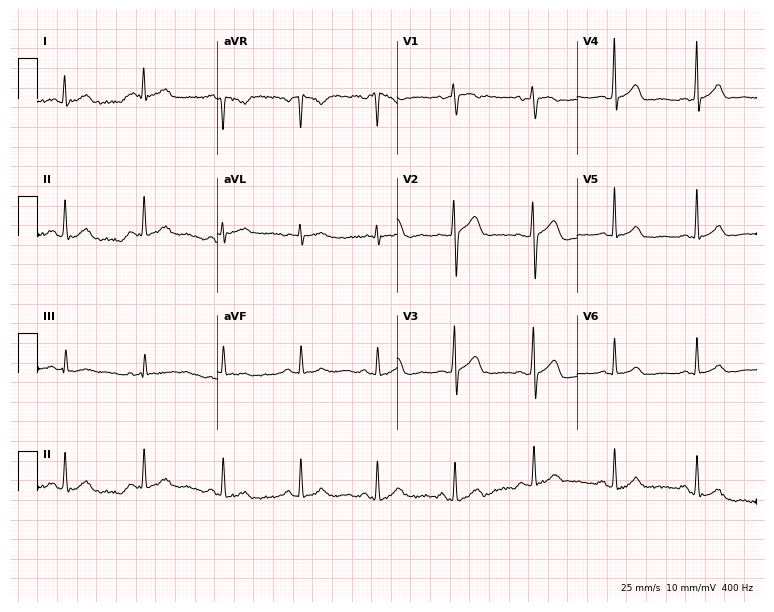
12-lead ECG from a 44-year-old female (7.3-second recording at 400 Hz). No first-degree AV block, right bundle branch block, left bundle branch block, sinus bradycardia, atrial fibrillation or sinus tachycardia recorded for this tracing.